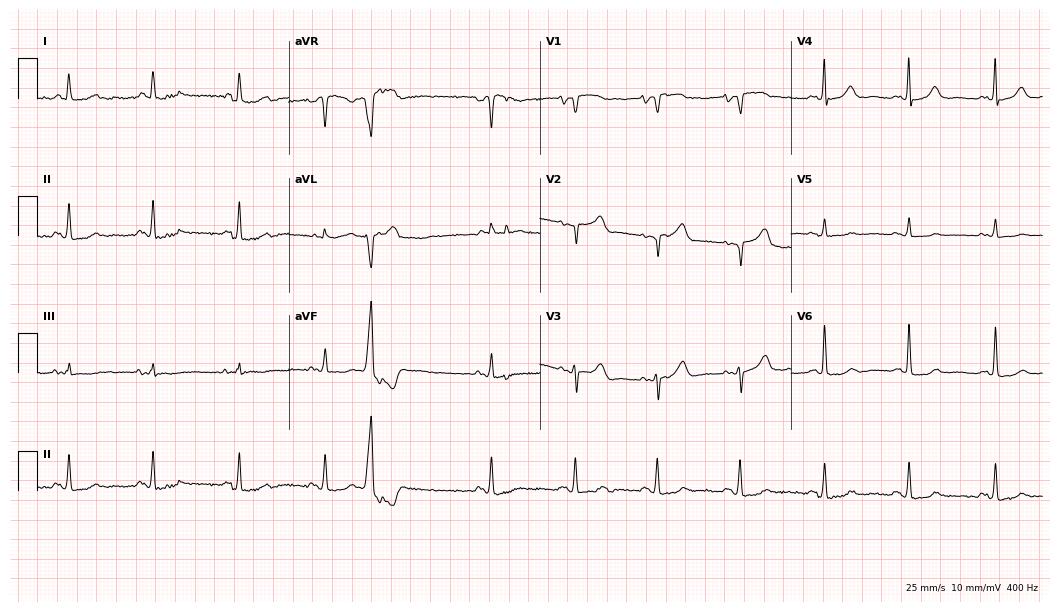
12-lead ECG from a woman, 76 years old. No first-degree AV block, right bundle branch block (RBBB), left bundle branch block (LBBB), sinus bradycardia, atrial fibrillation (AF) or sinus tachycardia recorded for this tracing.